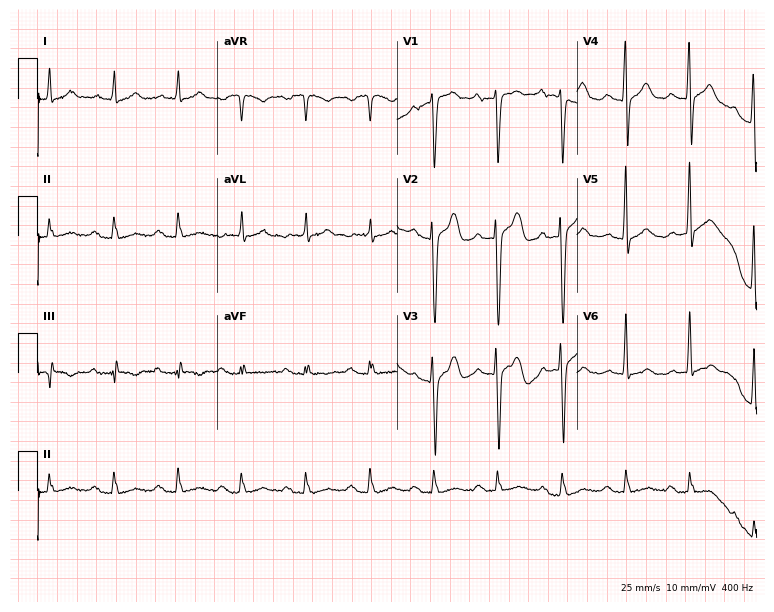
Standard 12-lead ECG recorded from a male, 71 years old. None of these six findings is recorded: first-degree AV block, right bundle branch block, left bundle branch block, sinus bradycardia, atrial fibrillation, sinus tachycardia.